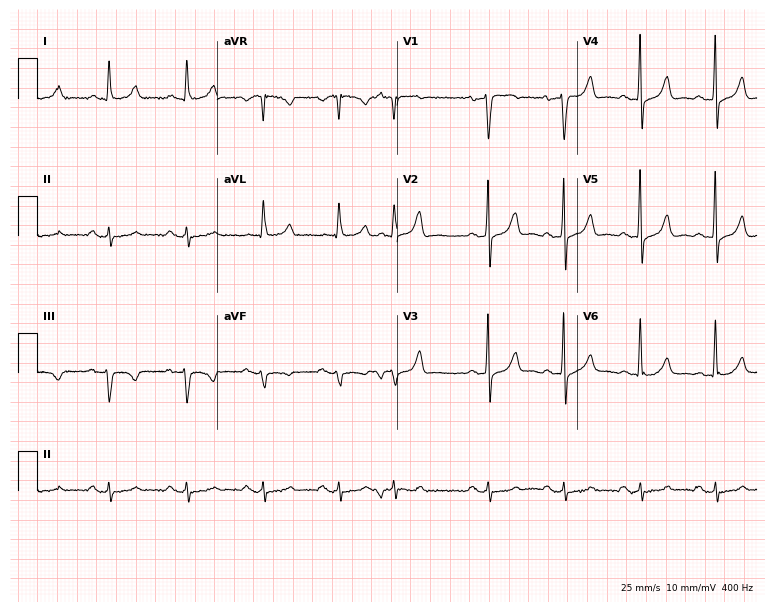
Resting 12-lead electrocardiogram (7.3-second recording at 400 Hz). Patient: a 74-year-old male. Read as a normal ECG.